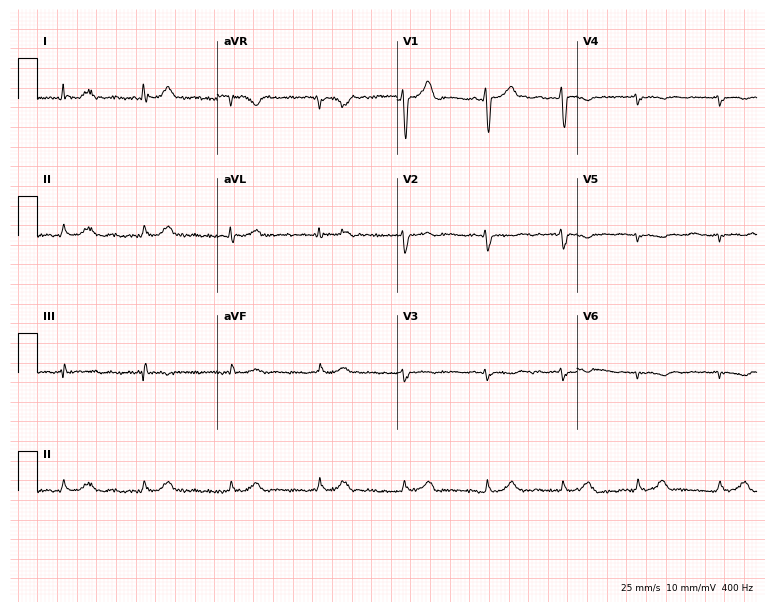
Standard 12-lead ECG recorded from a 77-year-old male (7.3-second recording at 400 Hz). None of these six findings is recorded: first-degree AV block, right bundle branch block, left bundle branch block, sinus bradycardia, atrial fibrillation, sinus tachycardia. Only these six findings were labelled.